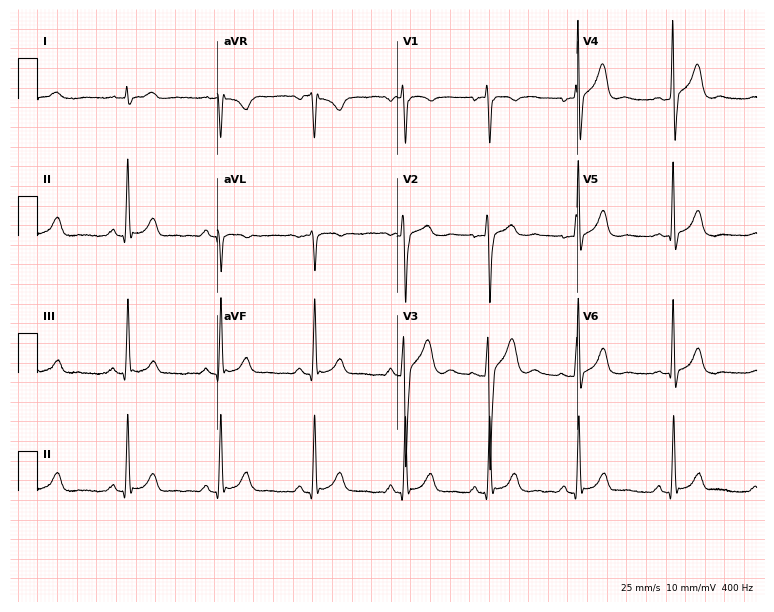
ECG (7.3-second recording at 400 Hz) — a man, 31 years old. Labelled as a normal ECG.